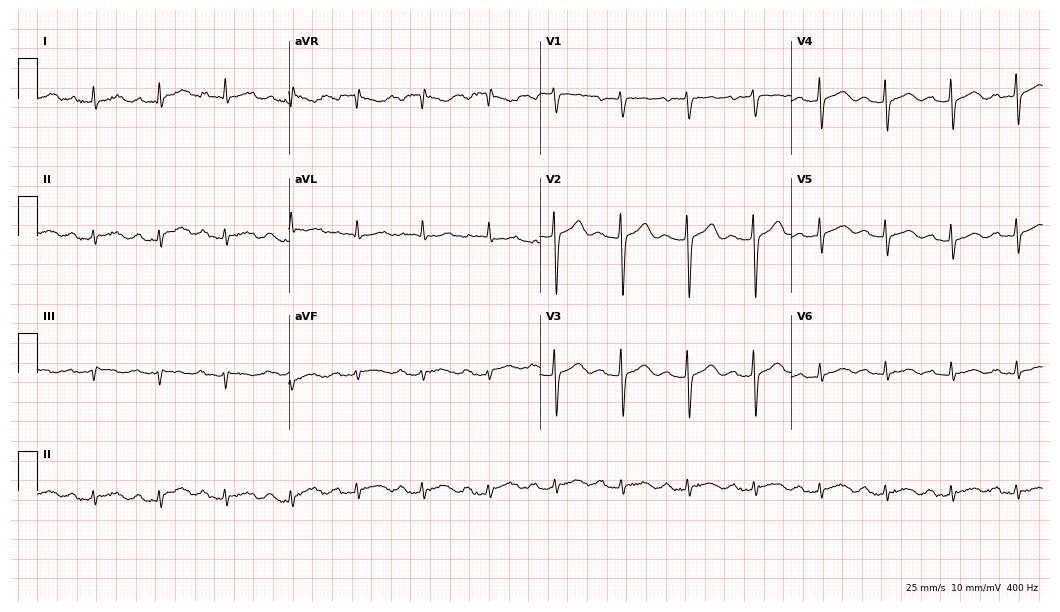
Electrocardiogram (10.2-second recording at 400 Hz), a male patient, 70 years old. Interpretation includes first-degree AV block.